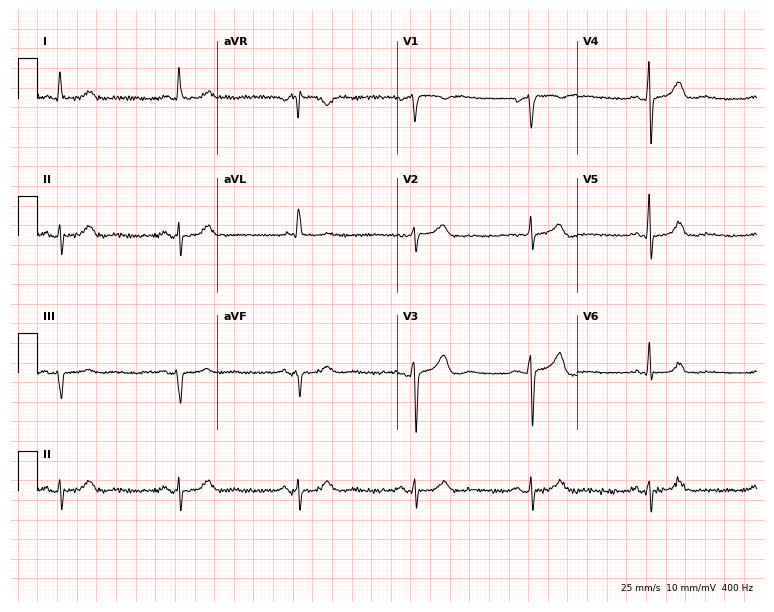
Resting 12-lead electrocardiogram (7.3-second recording at 400 Hz). Patient: a 77-year-old man. None of these six findings is recorded: first-degree AV block, right bundle branch block (RBBB), left bundle branch block (LBBB), sinus bradycardia, atrial fibrillation (AF), sinus tachycardia. Only these six findings were labelled.